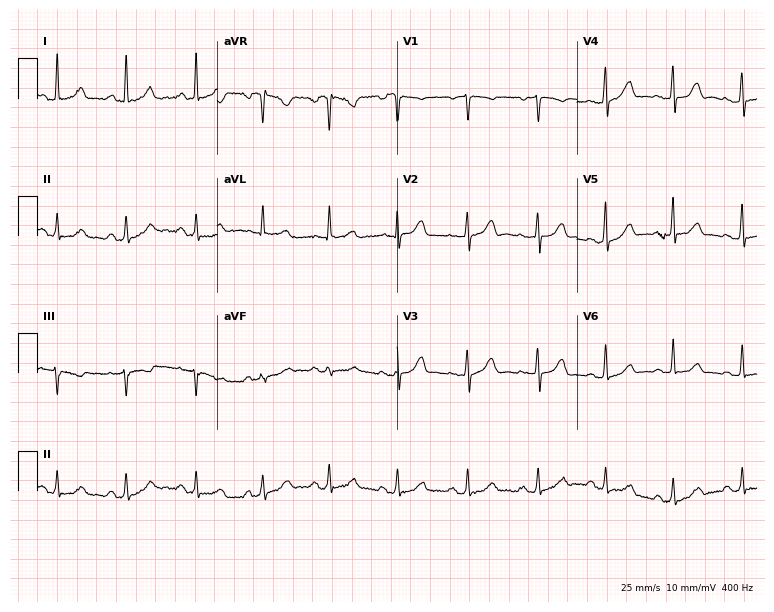
Standard 12-lead ECG recorded from a woman, 32 years old. Read as a normal ECG.